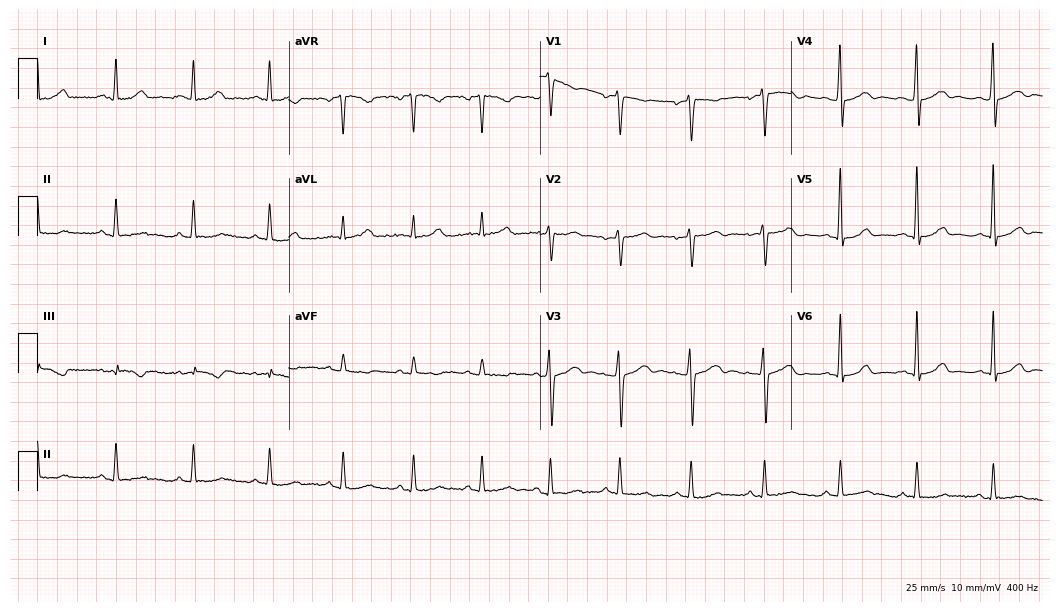
ECG (10.2-second recording at 400 Hz) — a 47-year-old woman. Labelled as a normal ECG.